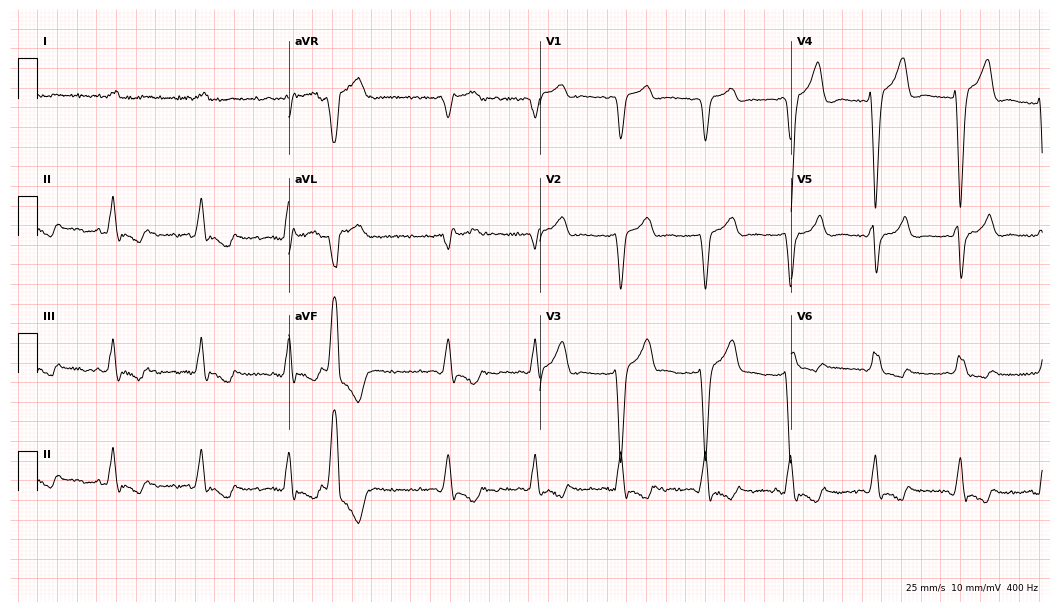
Electrocardiogram, a male, 83 years old. Interpretation includes left bundle branch block.